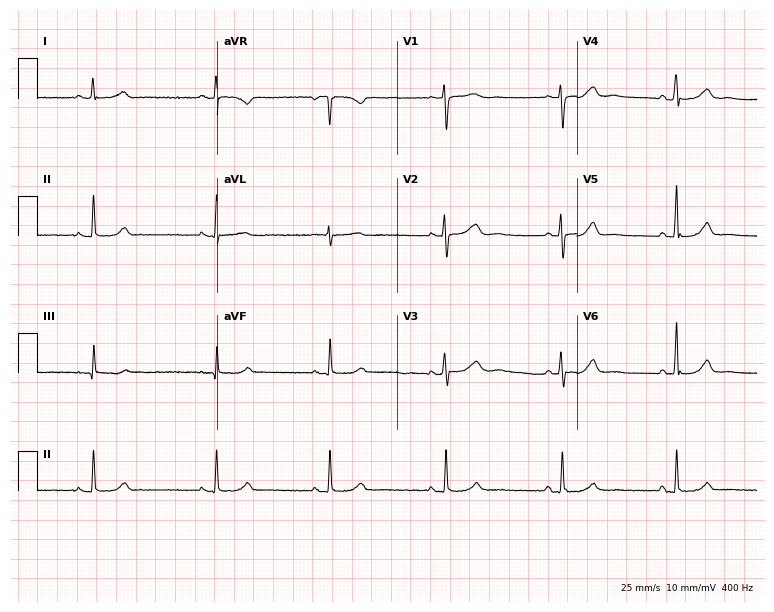
12-lead ECG (7.3-second recording at 400 Hz) from a 49-year-old female patient. Findings include sinus bradycardia (a sinus rate of 50 beats per minute or less).